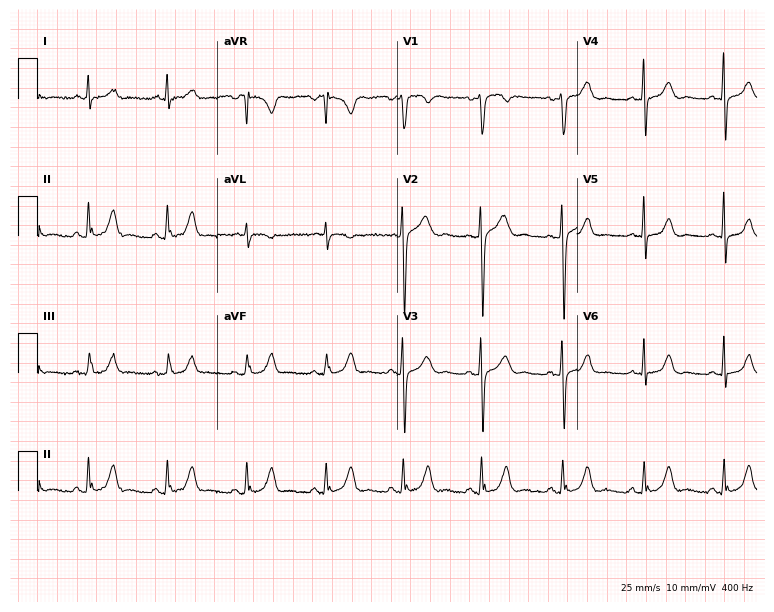
12-lead ECG (7.3-second recording at 400 Hz) from a 35-year-old woman. Labelled as a normal ECG.